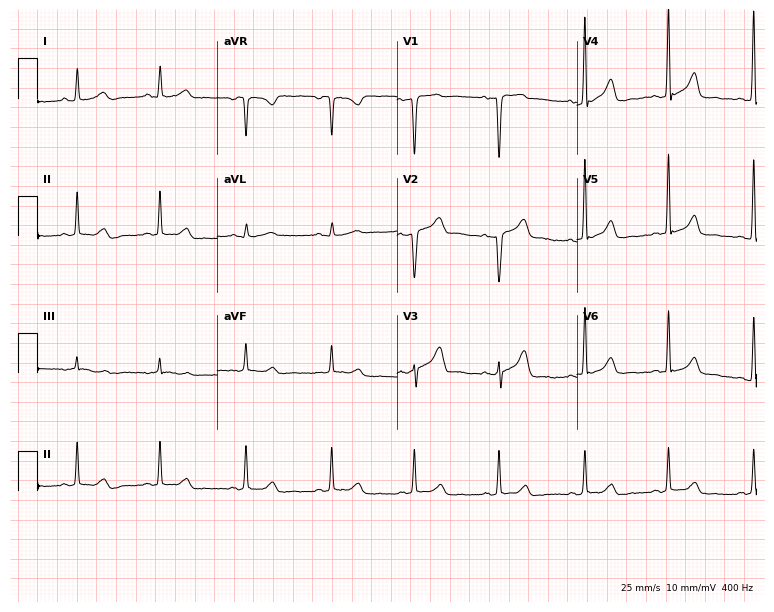
12-lead ECG from a woman, 40 years old. Screened for six findings — first-degree AV block, right bundle branch block, left bundle branch block, sinus bradycardia, atrial fibrillation, sinus tachycardia — none is recorded. Other findings, if any, are not listed.